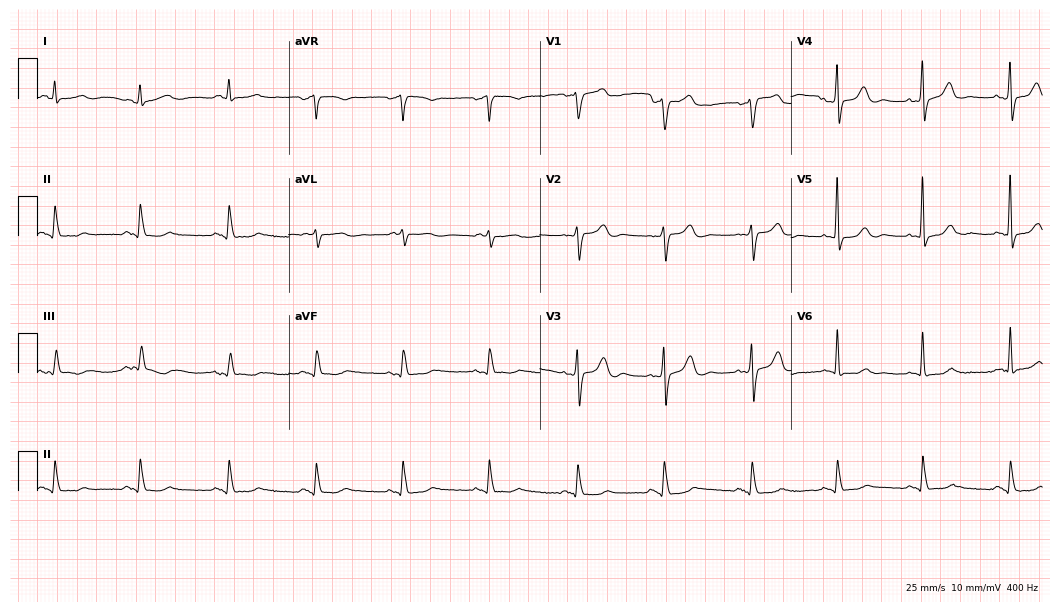
ECG — a 76-year-old male patient. Screened for six findings — first-degree AV block, right bundle branch block (RBBB), left bundle branch block (LBBB), sinus bradycardia, atrial fibrillation (AF), sinus tachycardia — none is recorded. Only these six findings were labelled.